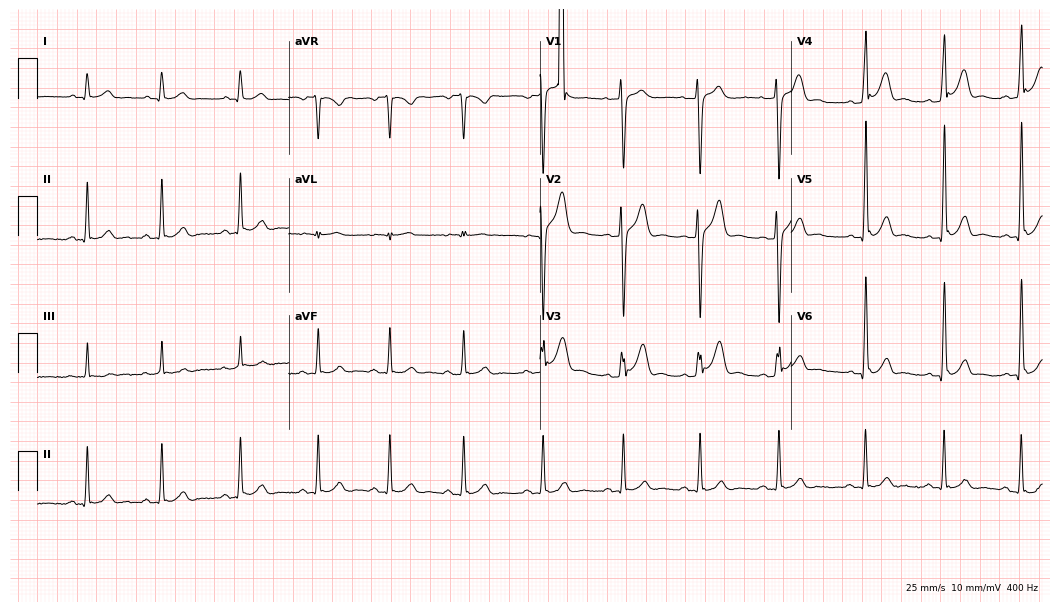
Electrocardiogram, a male patient, 23 years old. Overall reading on record: normal ECG.